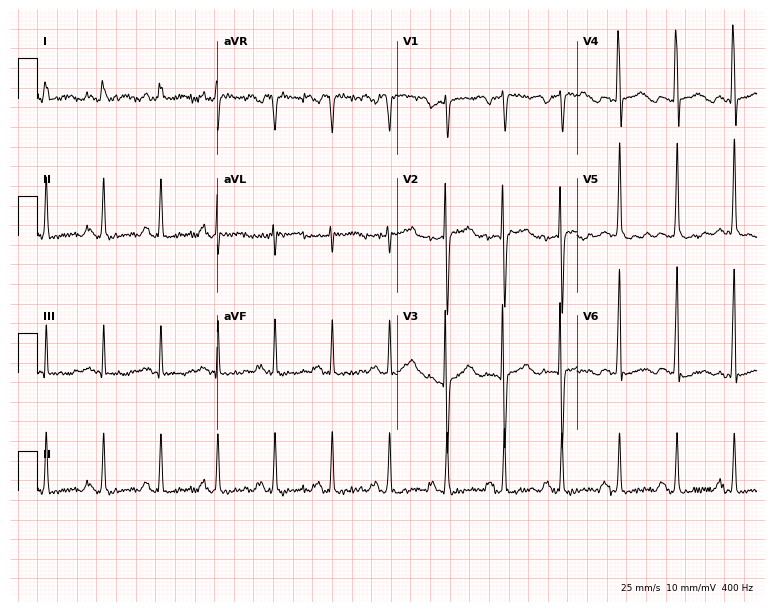
12-lead ECG (7.3-second recording at 400 Hz) from a female, 48 years old. Screened for six findings — first-degree AV block, right bundle branch block, left bundle branch block, sinus bradycardia, atrial fibrillation, sinus tachycardia — none is recorded. Other findings, if any, are not listed.